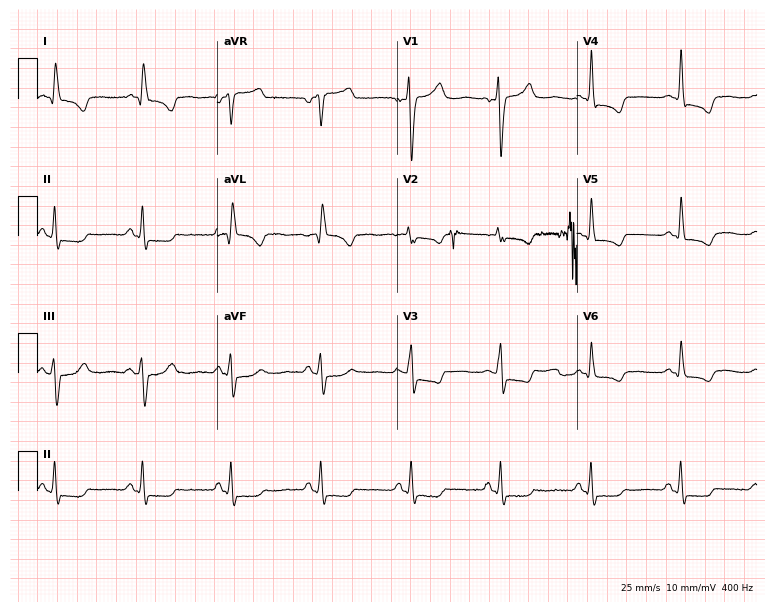
12-lead ECG from a 65-year-old female patient (7.3-second recording at 400 Hz). No first-degree AV block, right bundle branch block (RBBB), left bundle branch block (LBBB), sinus bradycardia, atrial fibrillation (AF) or sinus tachycardia recorded for this tracing. Only these six findings were labelled.